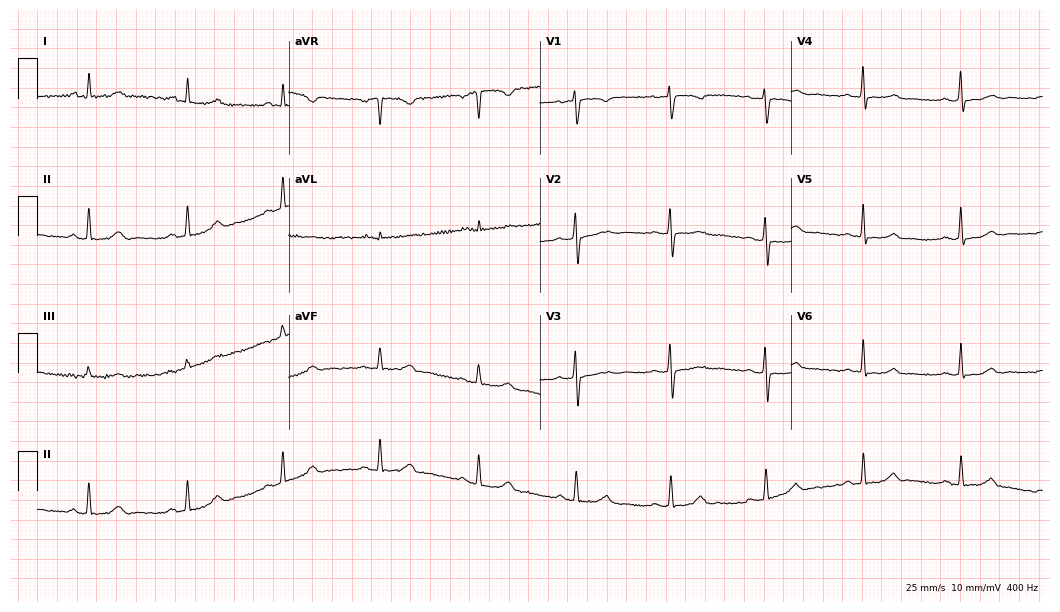
12-lead ECG from a female, 50 years old. No first-degree AV block, right bundle branch block, left bundle branch block, sinus bradycardia, atrial fibrillation or sinus tachycardia recorded for this tracing. Findings outside these six are not listed.